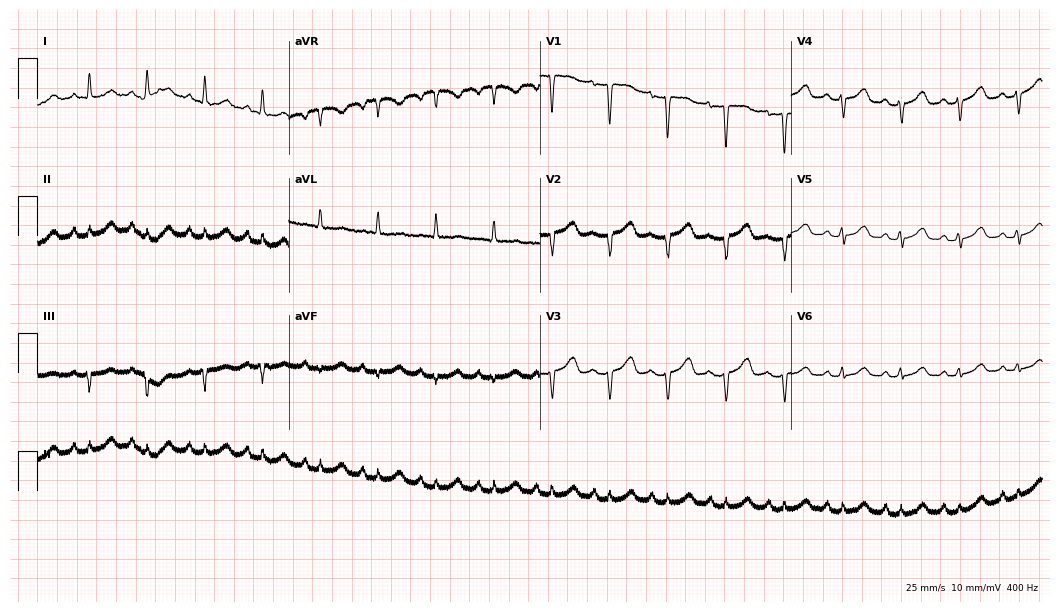
ECG (10.2-second recording at 400 Hz) — a 57-year-old woman. Screened for six findings — first-degree AV block, right bundle branch block, left bundle branch block, sinus bradycardia, atrial fibrillation, sinus tachycardia — none is recorded. Only these six findings were labelled.